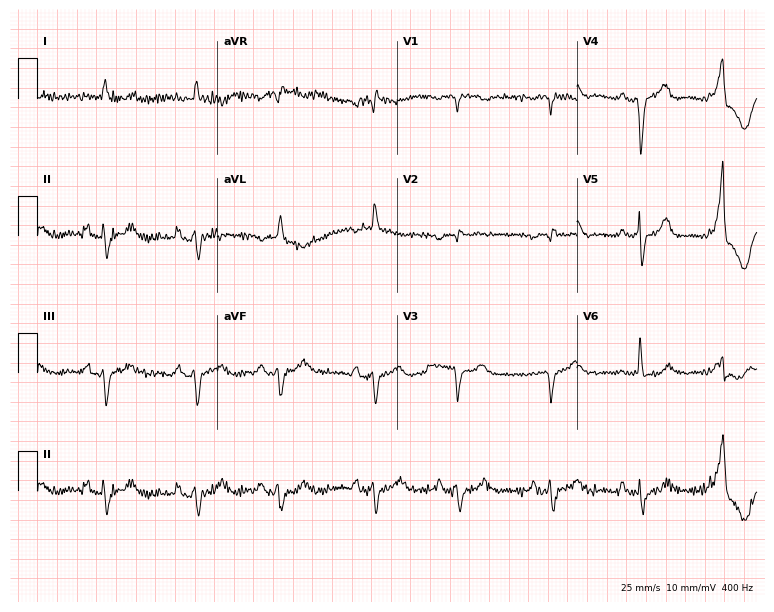
Standard 12-lead ECG recorded from an 80-year-old male. None of these six findings is recorded: first-degree AV block, right bundle branch block (RBBB), left bundle branch block (LBBB), sinus bradycardia, atrial fibrillation (AF), sinus tachycardia.